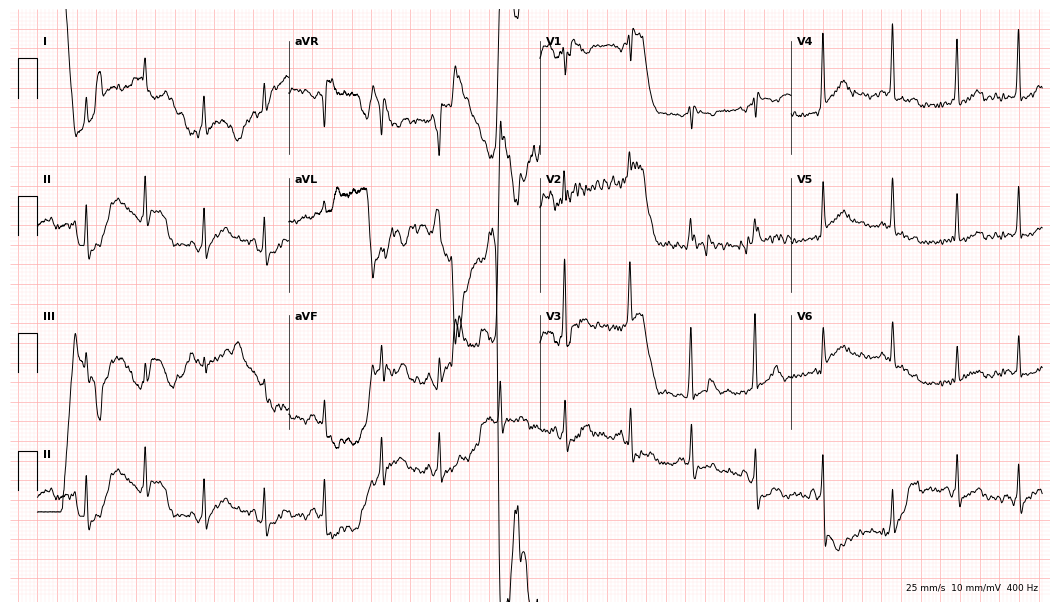
Standard 12-lead ECG recorded from a 41-year-old male patient (10.2-second recording at 400 Hz). None of these six findings is recorded: first-degree AV block, right bundle branch block (RBBB), left bundle branch block (LBBB), sinus bradycardia, atrial fibrillation (AF), sinus tachycardia. Other findings, if any, are not listed.